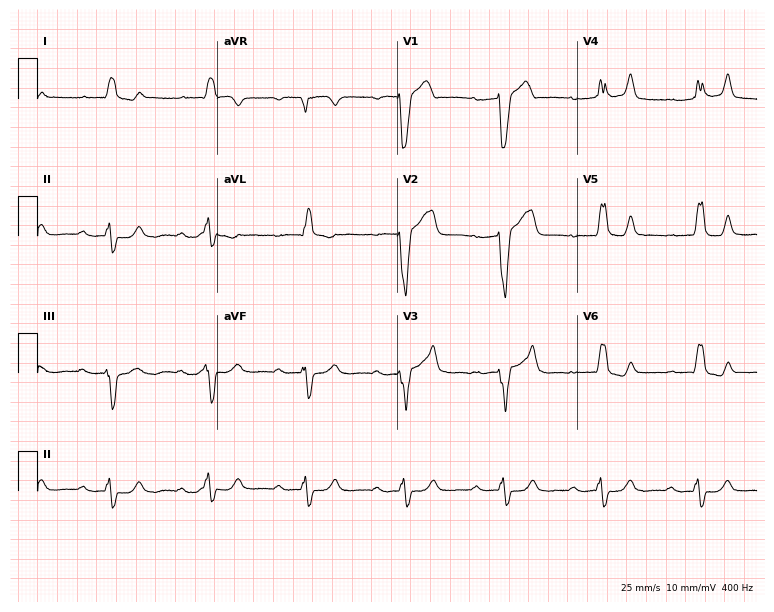
12-lead ECG (7.3-second recording at 400 Hz) from a male, 82 years old. Findings include left bundle branch block (LBBB).